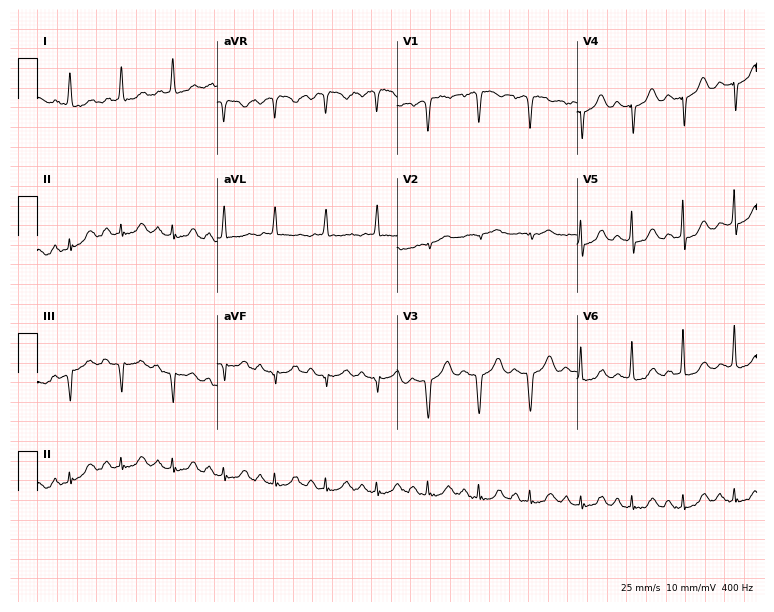
Resting 12-lead electrocardiogram. Patient: a female, 79 years old. The tracing shows sinus tachycardia (a sinus rate of 100 beats per minute or more).